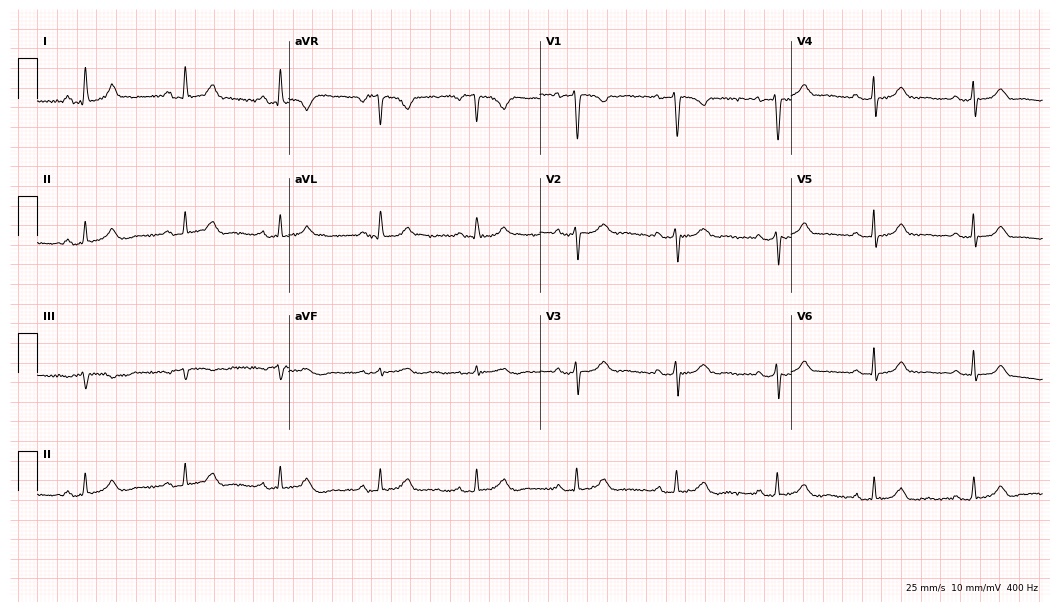
Standard 12-lead ECG recorded from a woman, 49 years old. Read as a normal ECG.